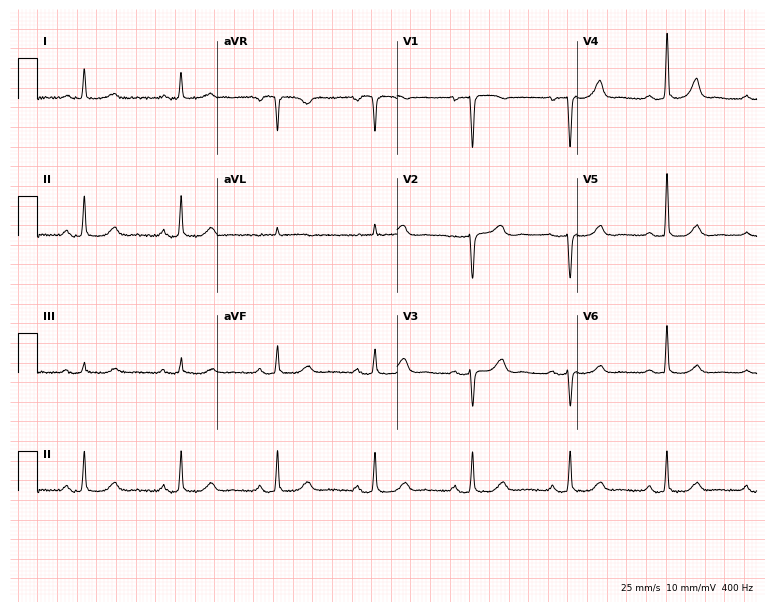
12-lead ECG from a female, 59 years old (7.3-second recording at 400 Hz). Recorded interpretation: within normal limits.